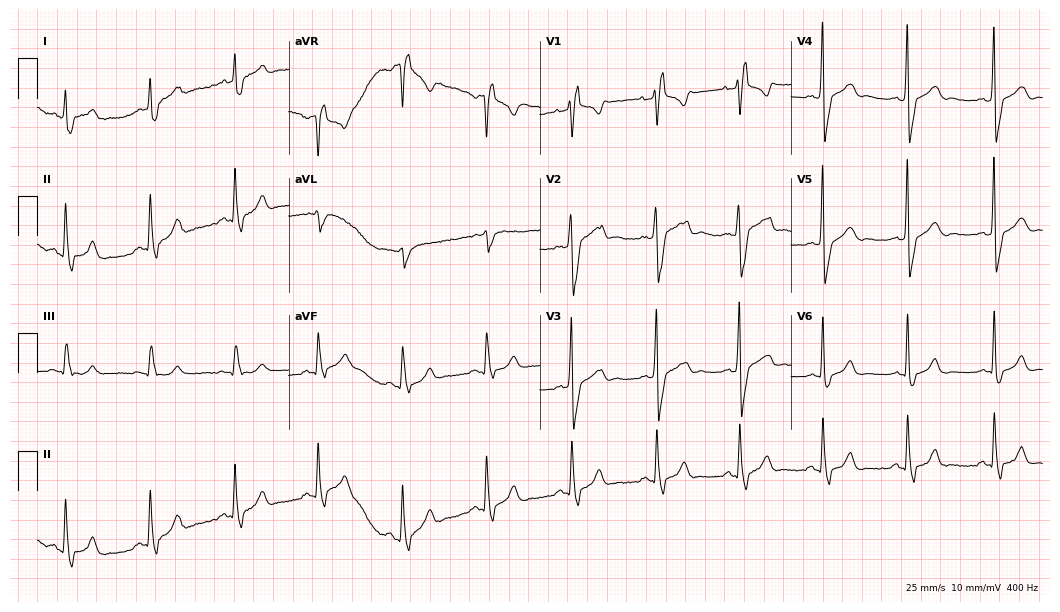
12-lead ECG from a 52-year-old man (10.2-second recording at 400 Hz). No first-degree AV block, right bundle branch block, left bundle branch block, sinus bradycardia, atrial fibrillation or sinus tachycardia recorded for this tracing.